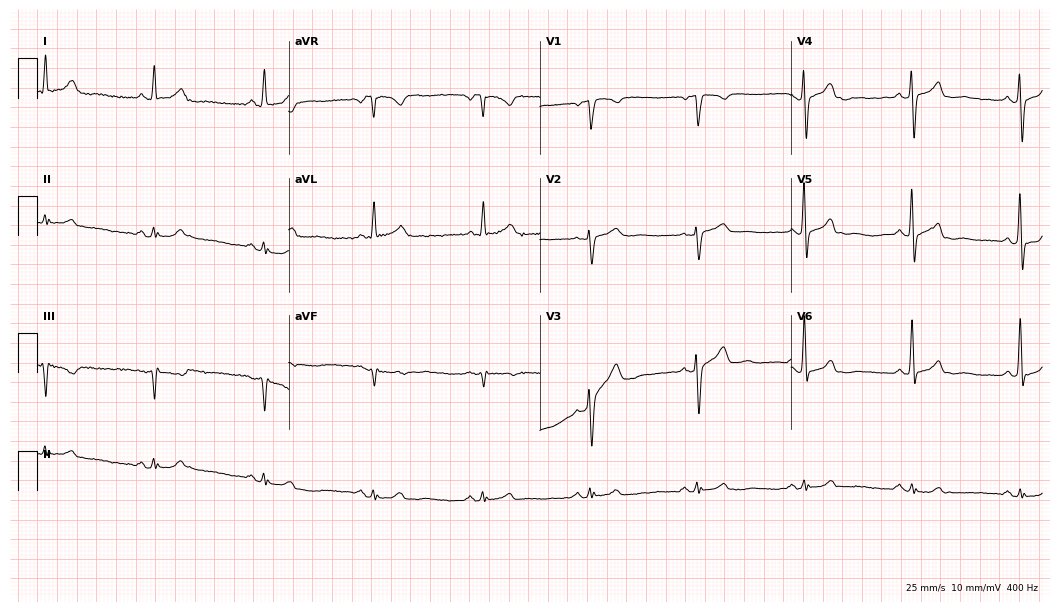
Standard 12-lead ECG recorded from a male patient, 66 years old. Read as a normal ECG.